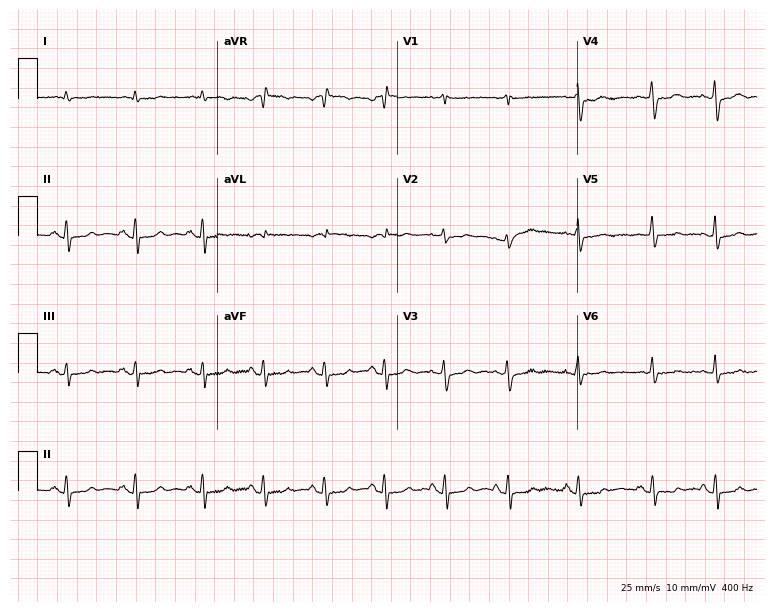
ECG — a man, 74 years old. Screened for six findings — first-degree AV block, right bundle branch block (RBBB), left bundle branch block (LBBB), sinus bradycardia, atrial fibrillation (AF), sinus tachycardia — none is recorded.